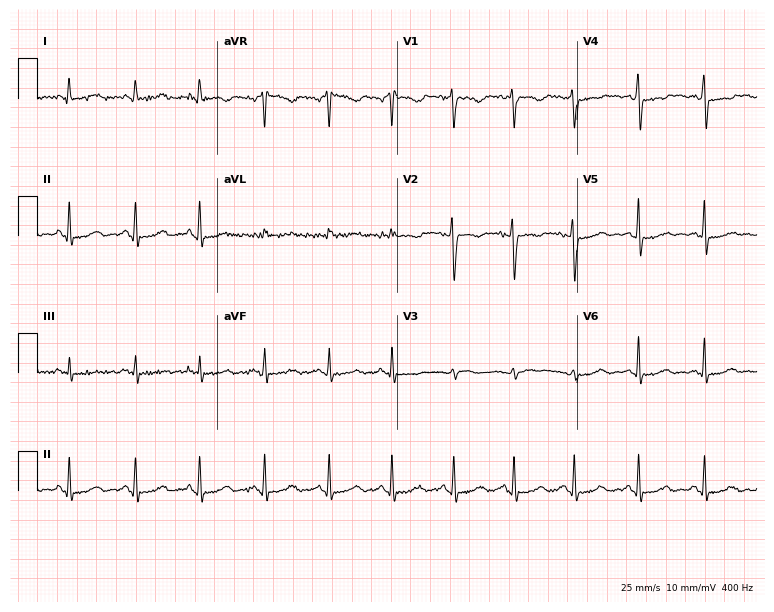
Standard 12-lead ECG recorded from a 24-year-old female. None of these six findings is recorded: first-degree AV block, right bundle branch block, left bundle branch block, sinus bradycardia, atrial fibrillation, sinus tachycardia. Other findings, if any, are not listed.